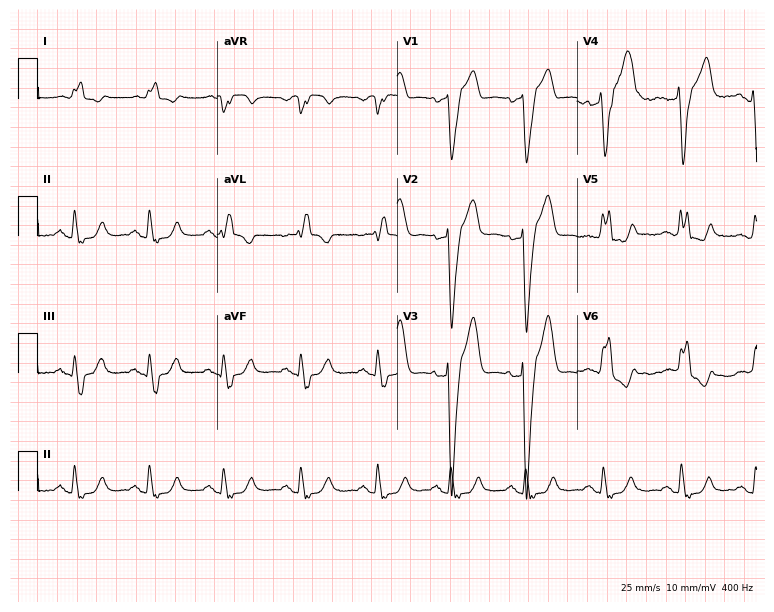
12-lead ECG from a male, 70 years old (7.3-second recording at 400 Hz). Shows left bundle branch block (LBBB).